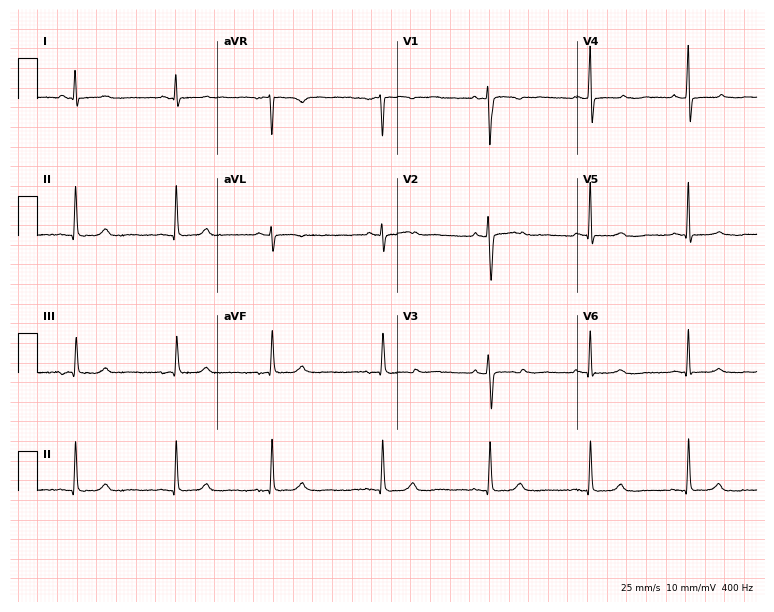
12-lead ECG (7.3-second recording at 400 Hz) from a woman, 55 years old. Screened for six findings — first-degree AV block, right bundle branch block, left bundle branch block, sinus bradycardia, atrial fibrillation, sinus tachycardia — none is recorded. Only these six findings were labelled.